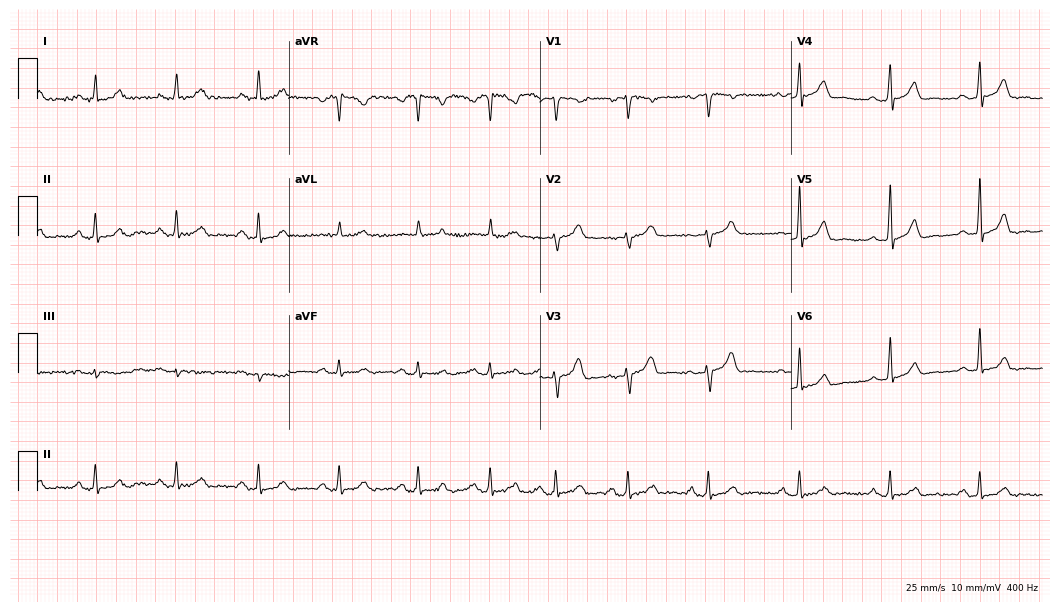
12-lead ECG from a female, 36 years old. Labelled as a normal ECG.